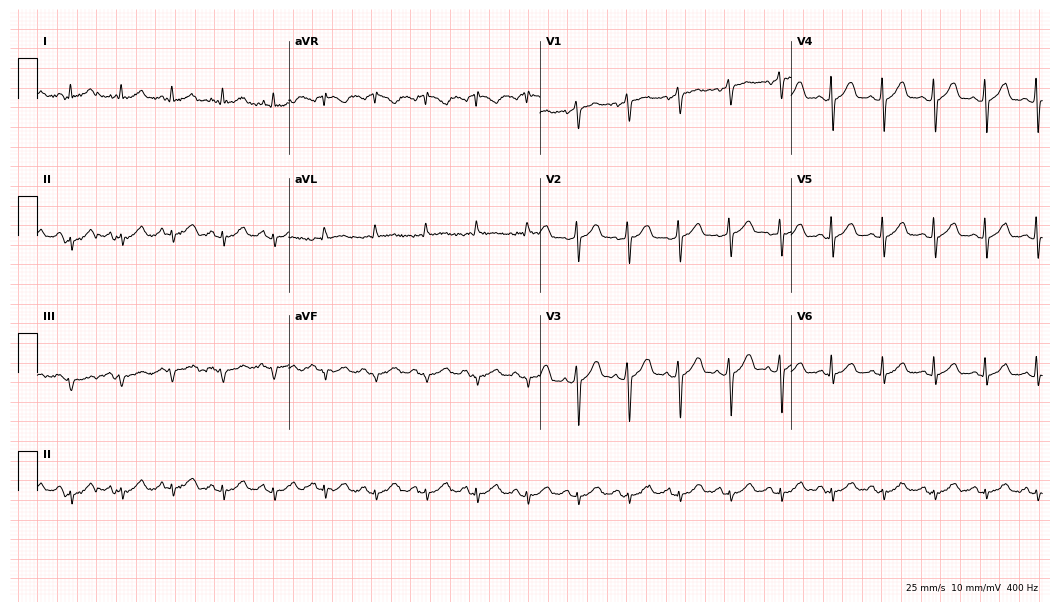
12-lead ECG from a 71-year-old male. Shows sinus tachycardia (a sinus rate of 100 beats per minute or more).